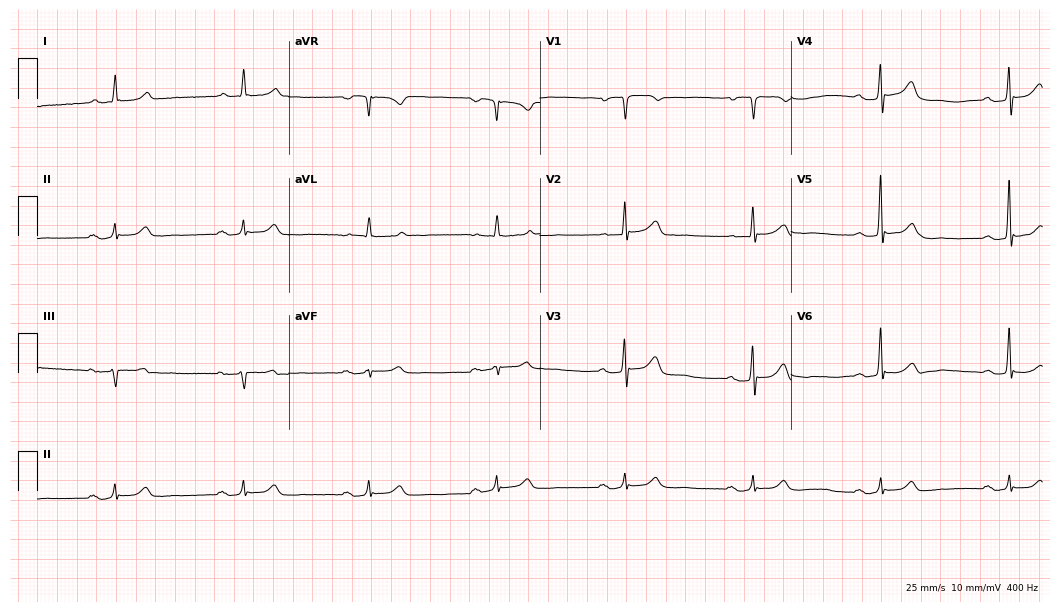
Electrocardiogram, a 72-year-old female patient. Interpretation includes sinus bradycardia (a sinus rate of 50 beats per minute or less).